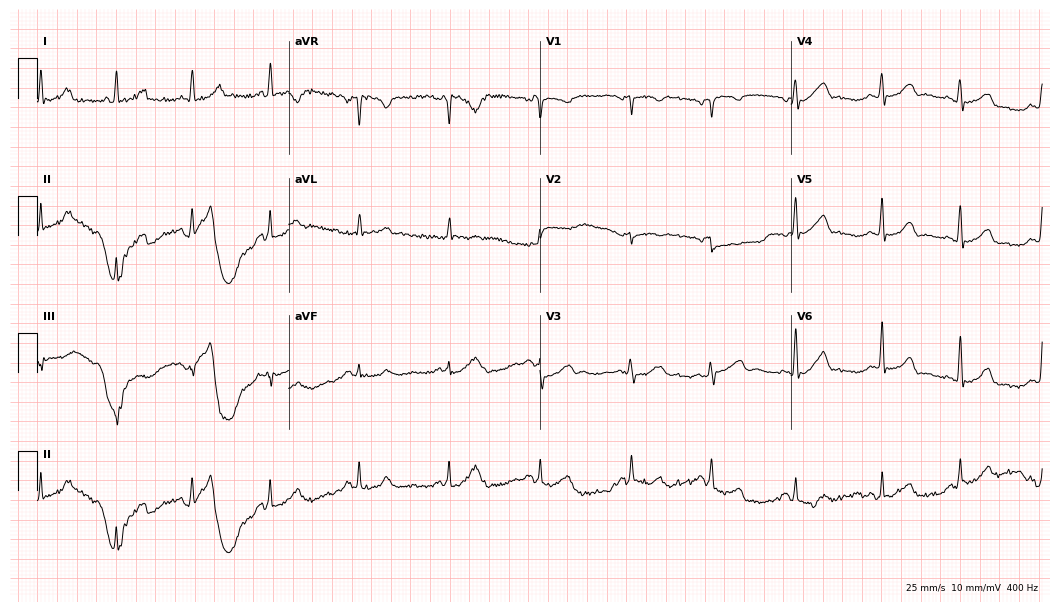
12-lead ECG from a woman, 44 years old. Recorded interpretation: within normal limits.